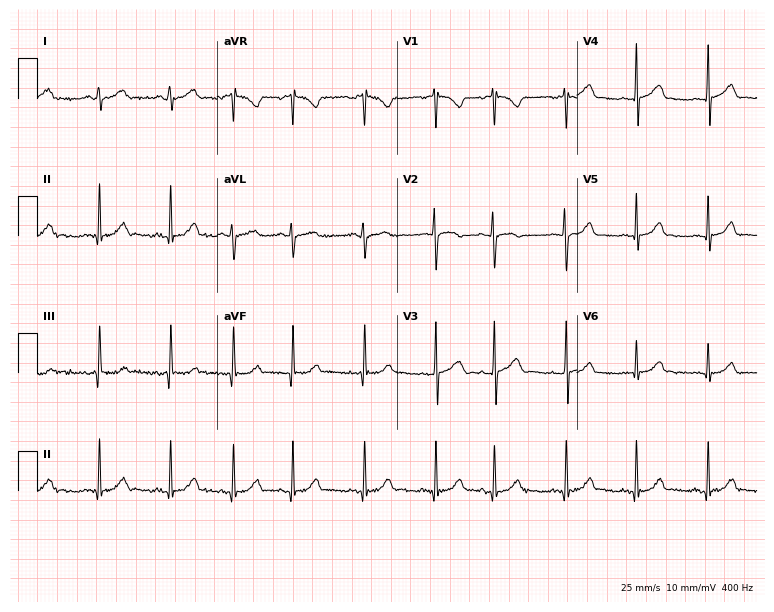
12-lead ECG from a 17-year-old woman. Labelled as a normal ECG.